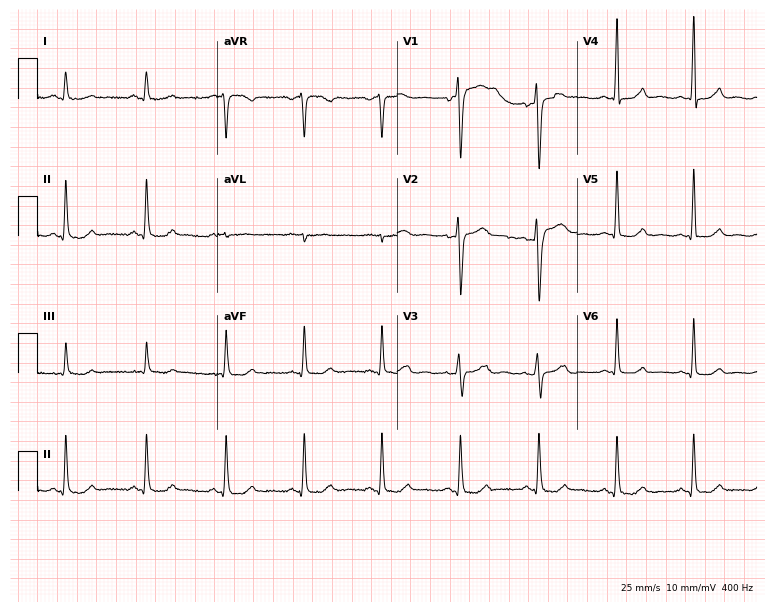
ECG — a woman, 44 years old. Screened for six findings — first-degree AV block, right bundle branch block, left bundle branch block, sinus bradycardia, atrial fibrillation, sinus tachycardia — none is recorded. Other findings, if any, are not listed.